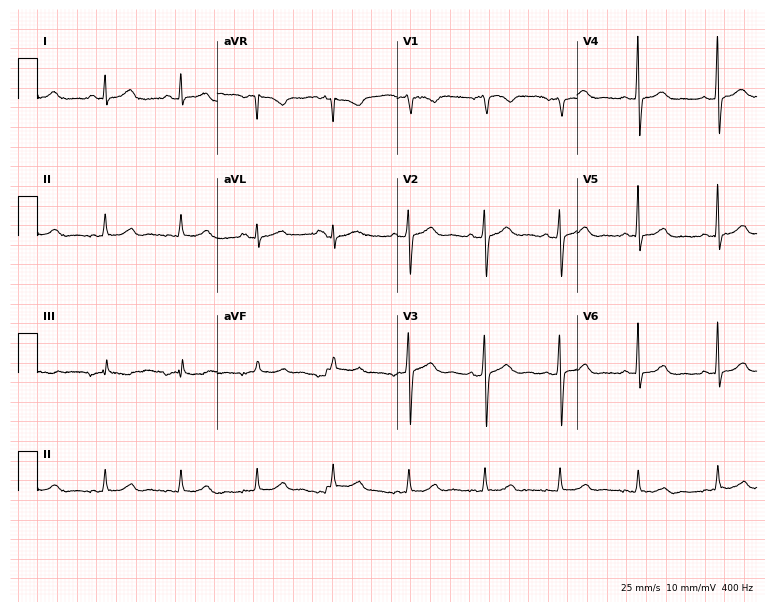
12-lead ECG from a 41-year-old female. No first-degree AV block, right bundle branch block, left bundle branch block, sinus bradycardia, atrial fibrillation or sinus tachycardia recorded for this tracing. Findings outside these six are not listed.